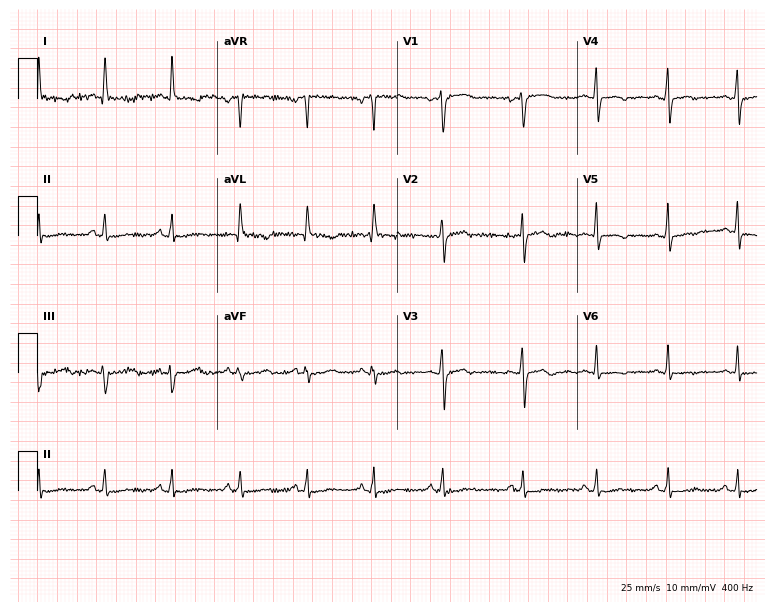
Resting 12-lead electrocardiogram. Patient: a female, 40 years old. None of these six findings is recorded: first-degree AV block, right bundle branch block, left bundle branch block, sinus bradycardia, atrial fibrillation, sinus tachycardia. Other findings, if any, are not listed.